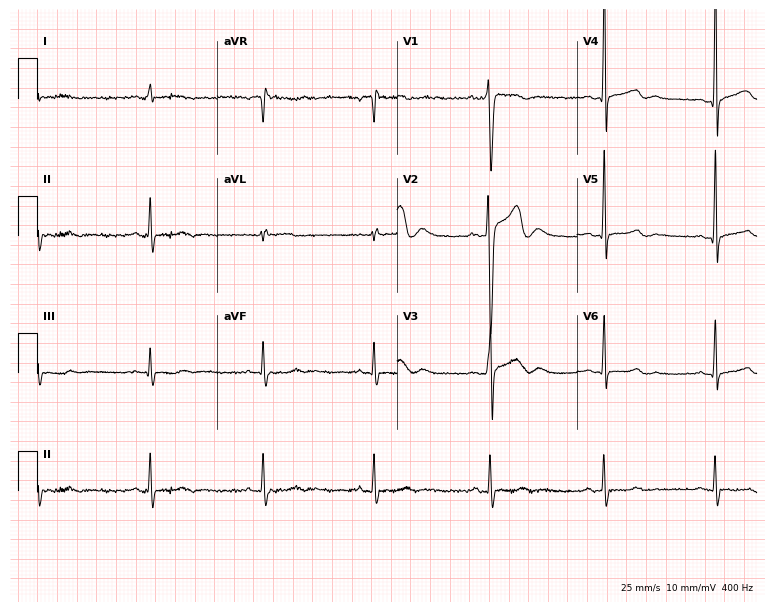
12-lead ECG from a male, 38 years old. No first-degree AV block, right bundle branch block (RBBB), left bundle branch block (LBBB), sinus bradycardia, atrial fibrillation (AF) or sinus tachycardia recorded for this tracing. Only these six findings were labelled.